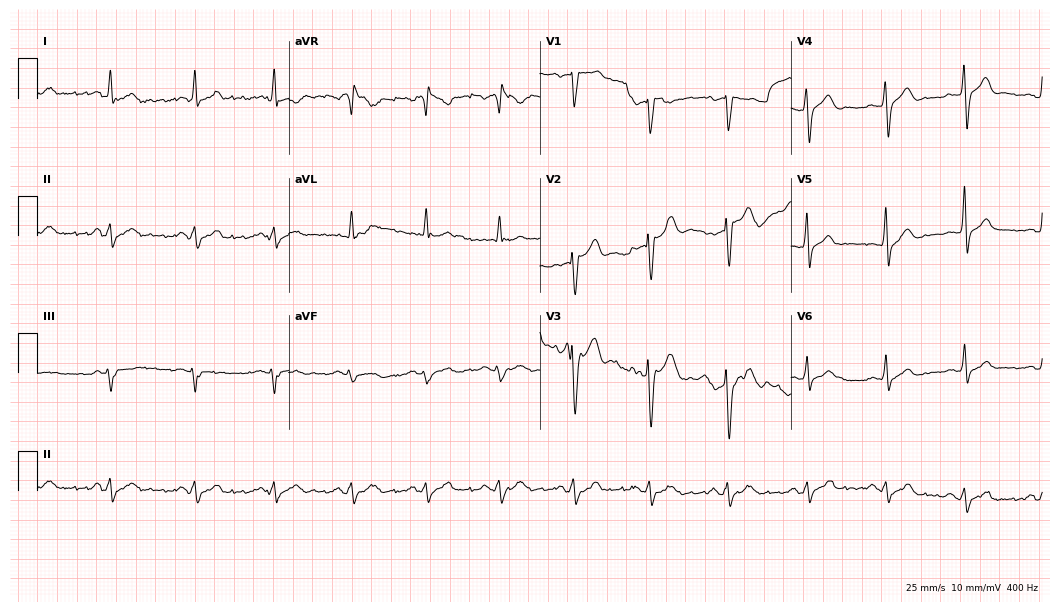
12-lead ECG from a male, 35 years old (10.2-second recording at 400 Hz). No first-degree AV block, right bundle branch block (RBBB), left bundle branch block (LBBB), sinus bradycardia, atrial fibrillation (AF) or sinus tachycardia recorded for this tracing. Only these six findings were labelled.